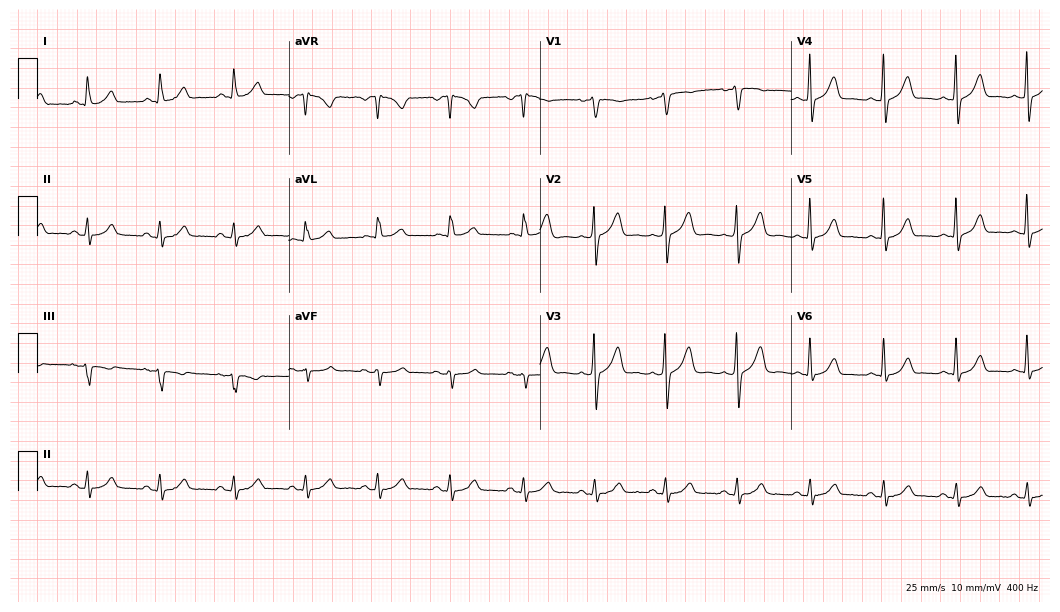
ECG (10.2-second recording at 400 Hz) — a 45-year-old woman. Screened for six findings — first-degree AV block, right bundle branch block (RBBB), left bundle branch block (LBBB), sinus bradycardia, atrial fibrillation (AF), sinus tachycardia — none is recorded.